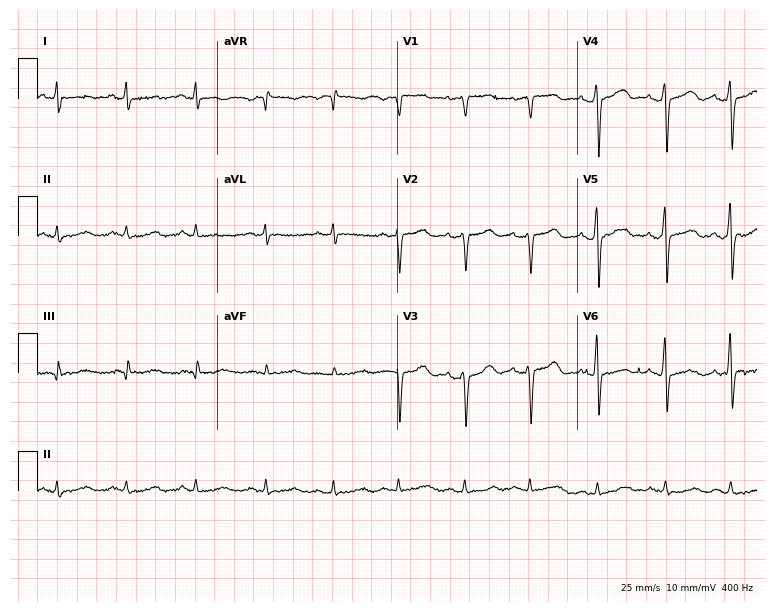
12-lead ECG from a female patient, 51 years old. Screened for six findings — first-degree AV block, right bundle branch block, left bundle branch block, sinus bradycardia, atrial fibrillation, sinus tachycardia — none is recorded. Other findings, if any, are not listed.